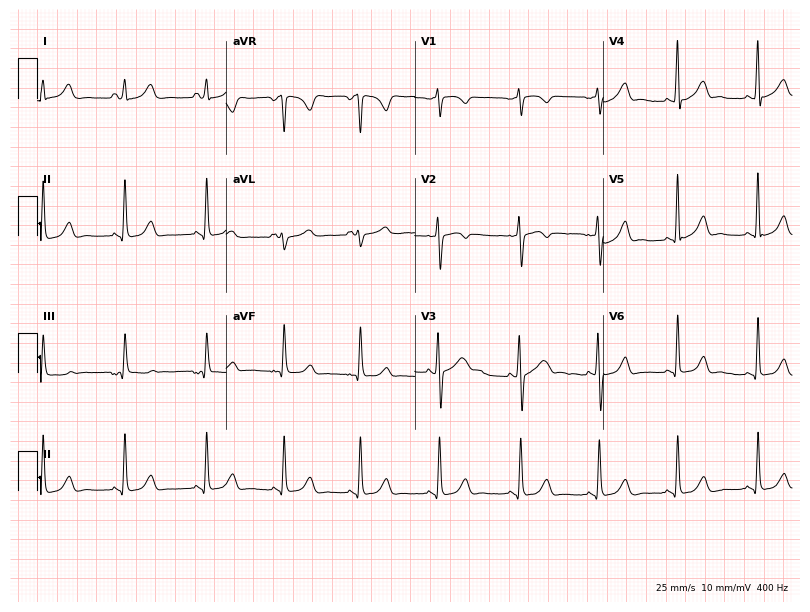
ECG — a 24-year-old woman. Screened for six findings — first-degree AV block, right bundle branch block, left bundle branch block, sinus bradycardia, atrial fibrillation, sinus tachycardia — none is recorded.